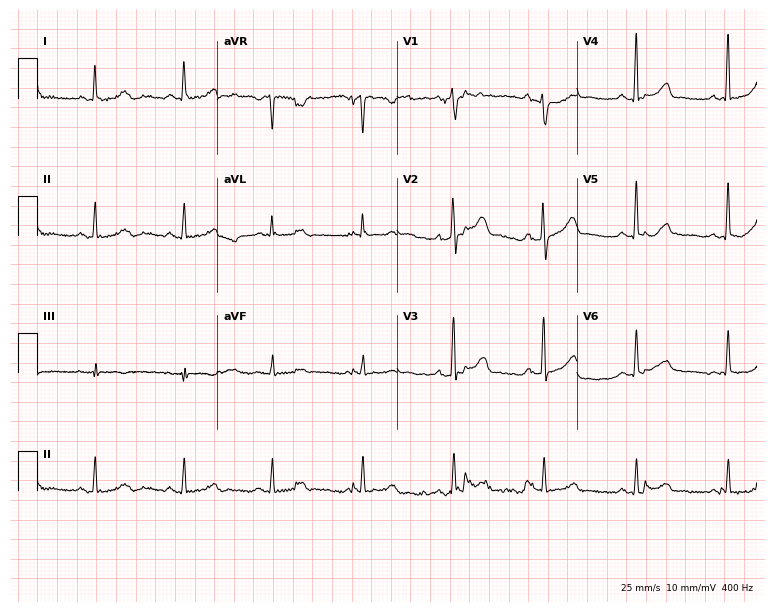
ECG (7.3-second recording at 400 Hz) — a male, 55 years old. Labelled as a normal ECG.